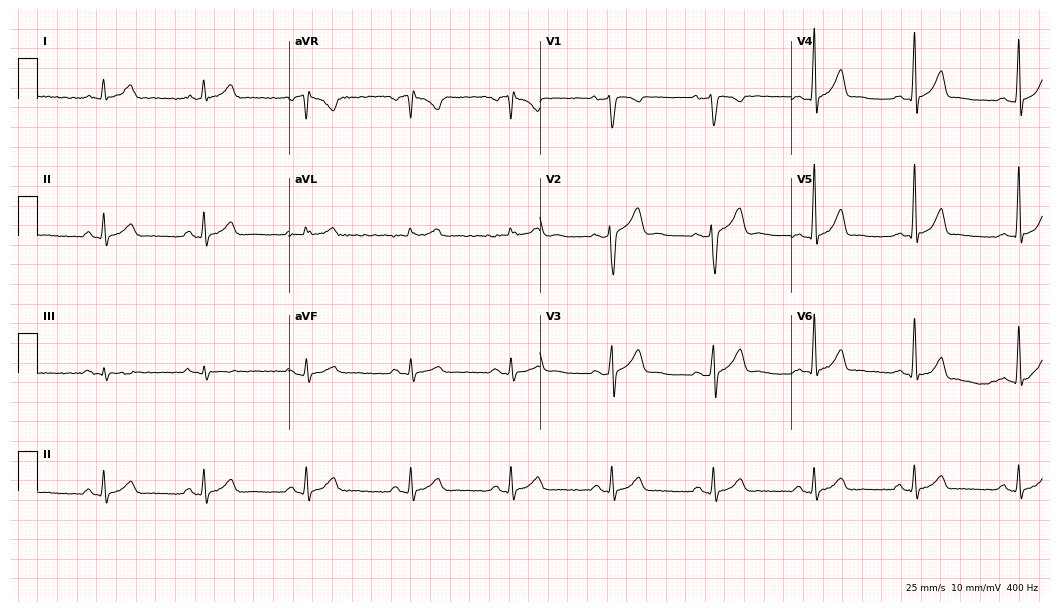
Electrocardiogram, a male patient, 51 years old. Of the six screened findings (first-degree AV block, right bundle branch block, left bundle branch block, sinus bradycardia, atrial fibrillation, sinus tachycardia), none is recorded.